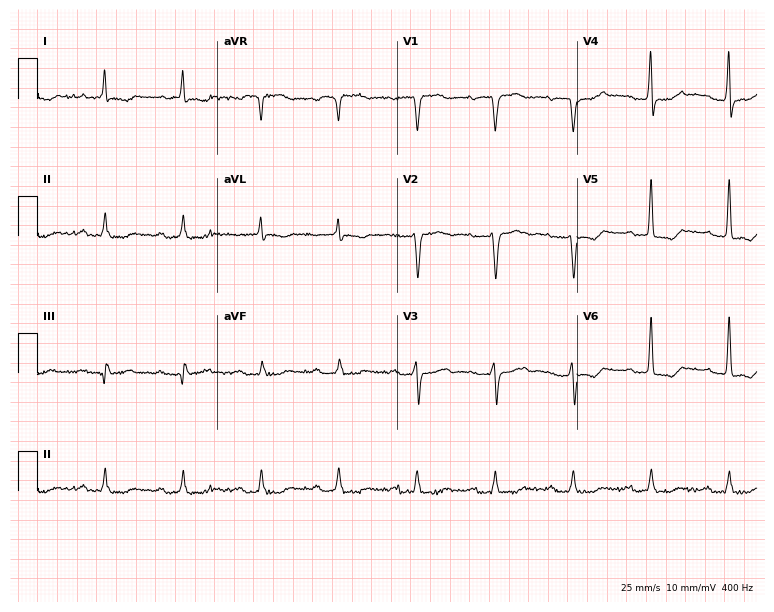
12-lead ECG from an 81-year-old woman. Findings include first-degree AV block.